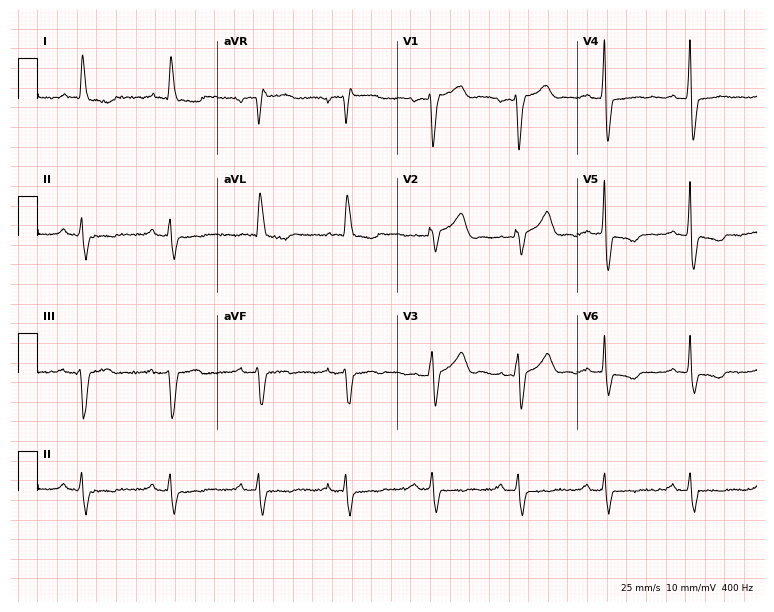
12-lead ECG (7.3-second recording at 400 Hz) from a male patient, 84 years old. Screened for six findings — first-degree AV block, right bundle branch block, left bundle branch block, sinus bradycardia, atrial fibrillation, sinus tachycardia — none is recorded. Only these six findings were labelled.